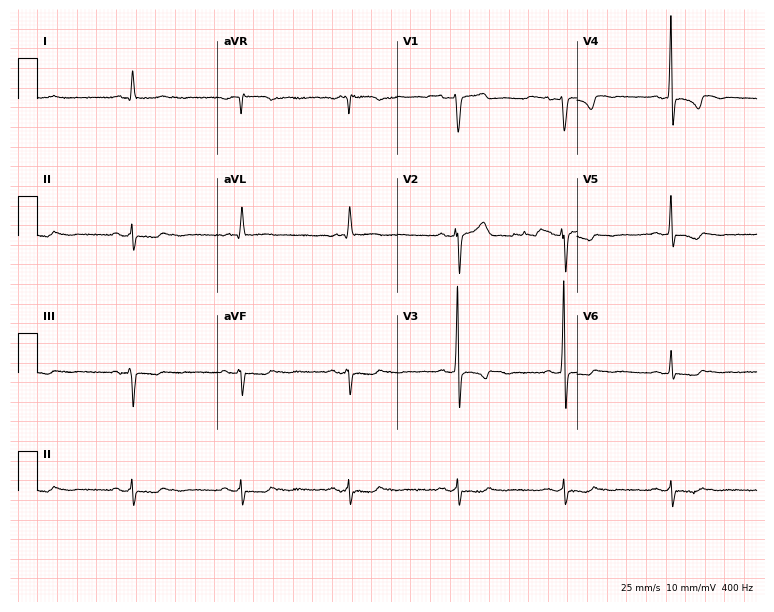
12-lead ECG from a 59-year-old man. Screened for six findings — first-degree AV block, right bundle branch block (RBBB), left bundle branch block (LBBB), sinus bradycardia, atrial fibrillation (AF), sinus tachycardia — none is recorded. Findings outside these six are not listed.